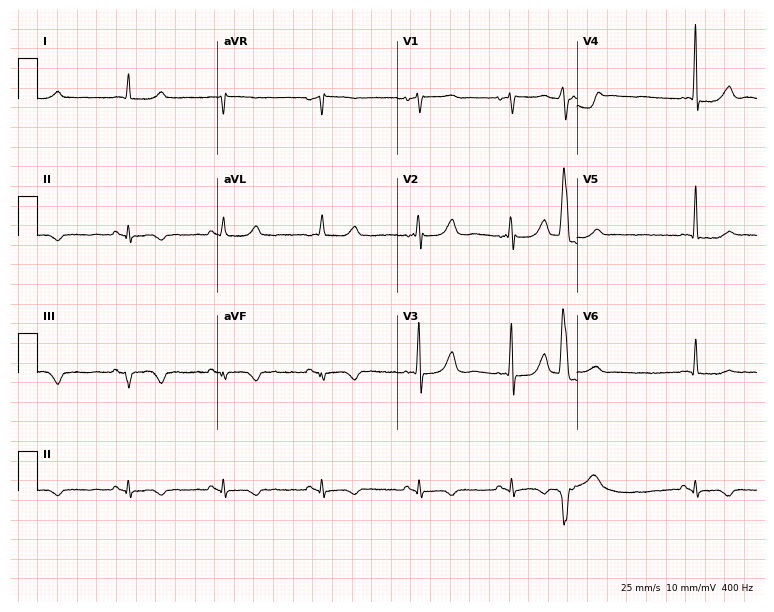
Standard 12-lead ECG recorded from a 58-year-old female patient. Read as a normal ECG.